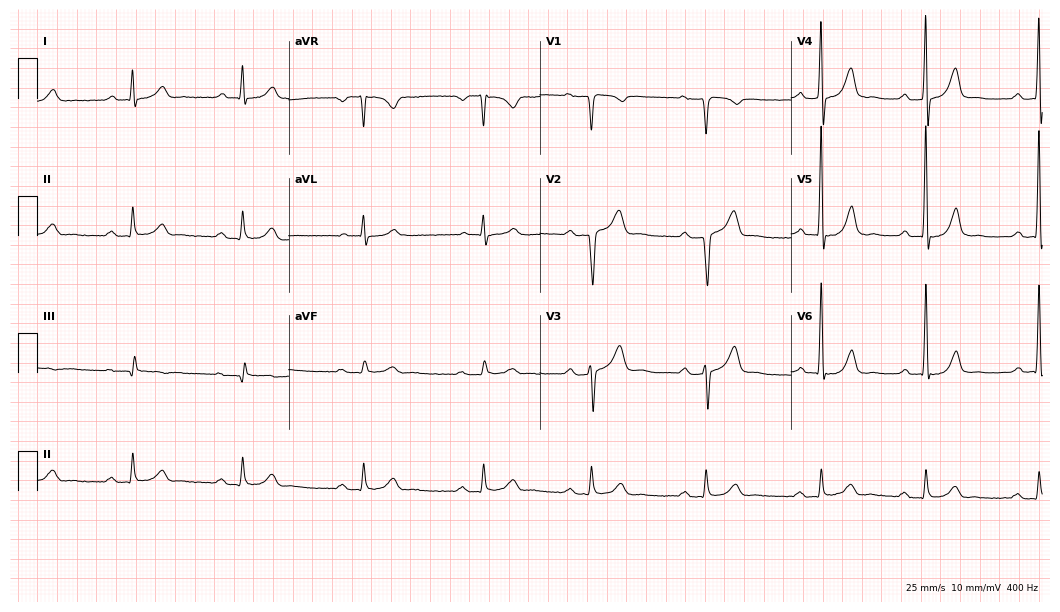
Electrocardiogram, a man, 58 years old. Overall reading on record: normal ECG.